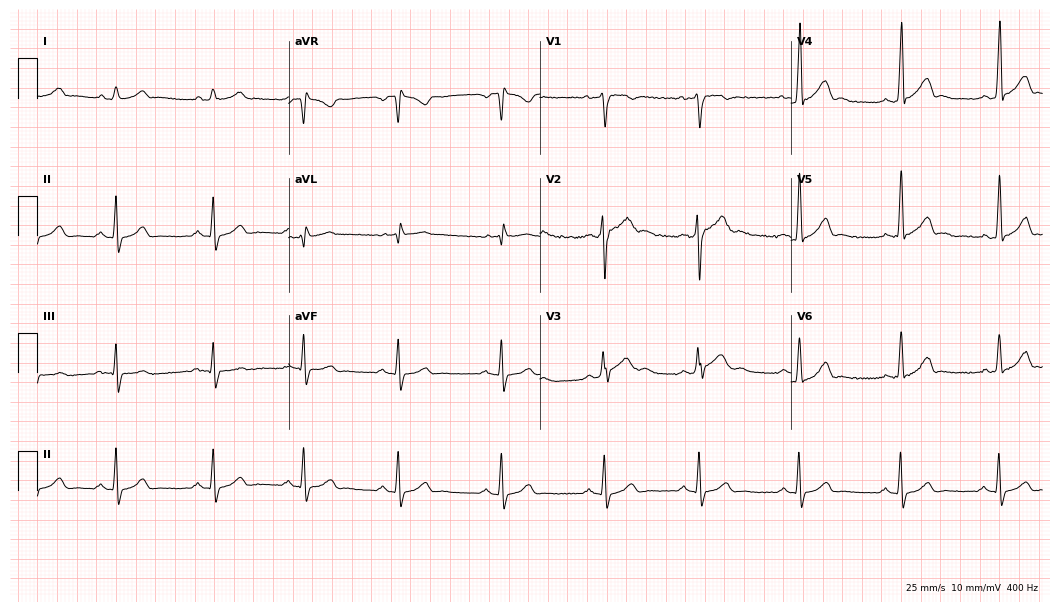
12-lead ECG (10.2-second recording at 400 Hz) from a man, 21 years old. Screened for six findings — first-degree AV block, right bundle branch block, left bundle branch block, sinus bradycardia, atrial fibrillation, sinus tachycardia — none is recorded. Findings outside these six are not listed.